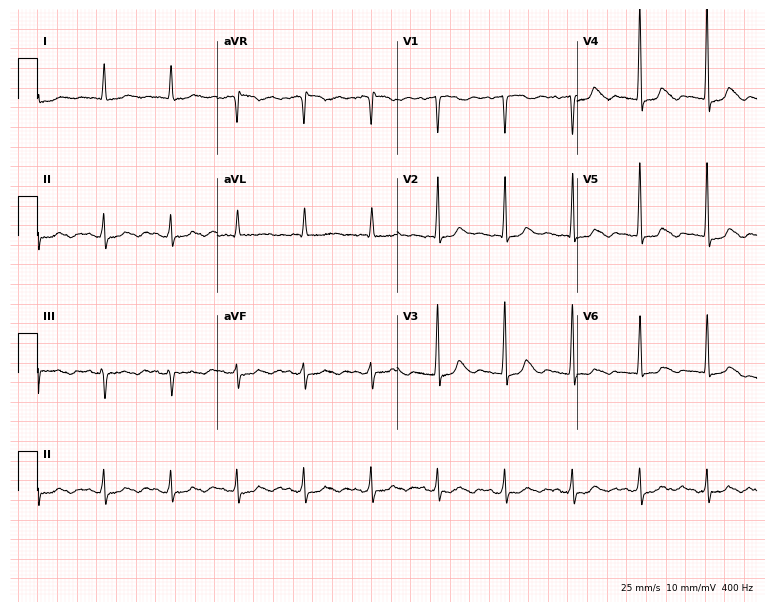
Resting 12-lead electrocardiogram (7.3-second recording at 400 Hz). Patient: a female, 78 years old. None of these six findings is recorded: first-degree AV block, right bundle branch block, left bundle branch block, sinus bradycardia, atrial fibrillation, sinus tachycardia. Only these six findings were labelled.